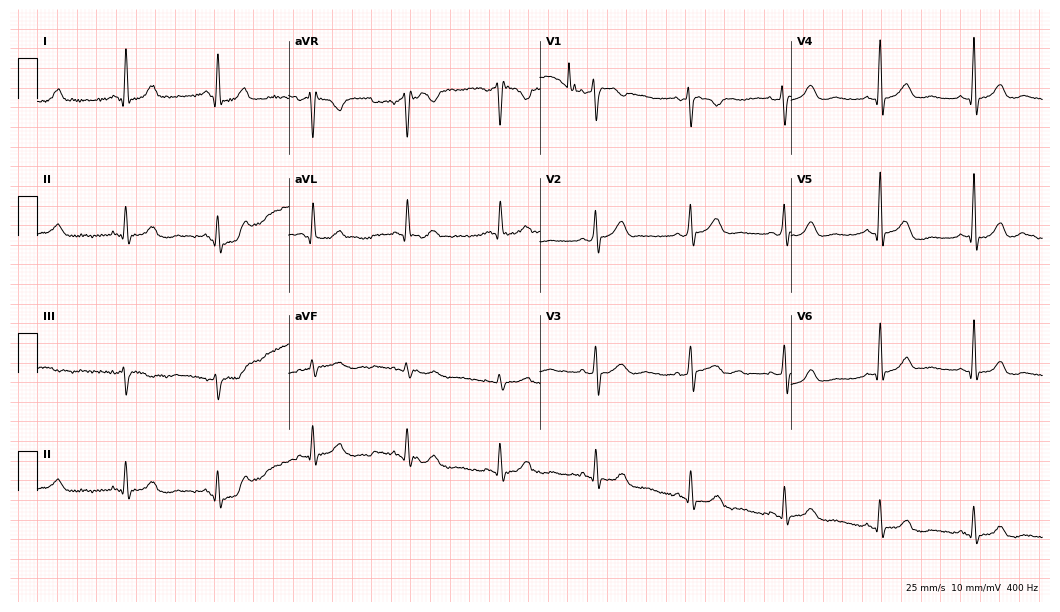
Standard 12-lead ECG recorded from a female patient, 53 years old. Read as a normal ECG.